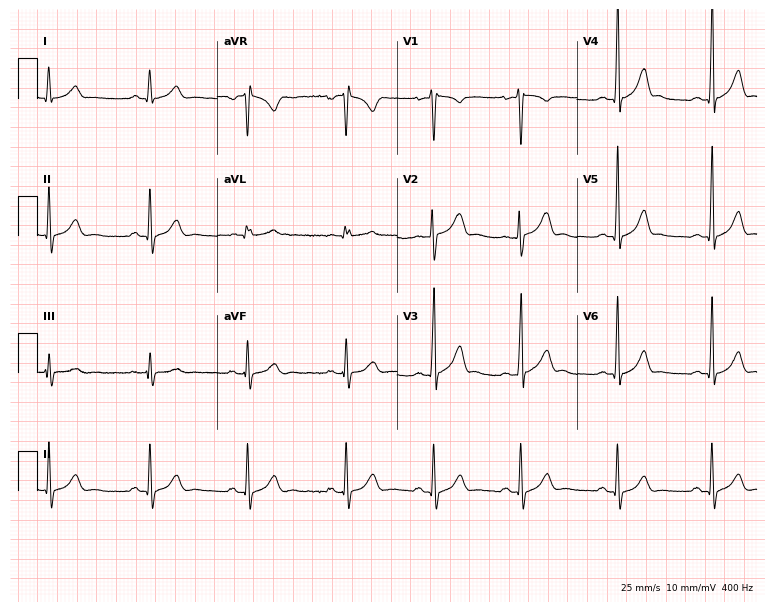
Electrocardiogram, a 17-year-old man. Overall reading on record: normal ECG.